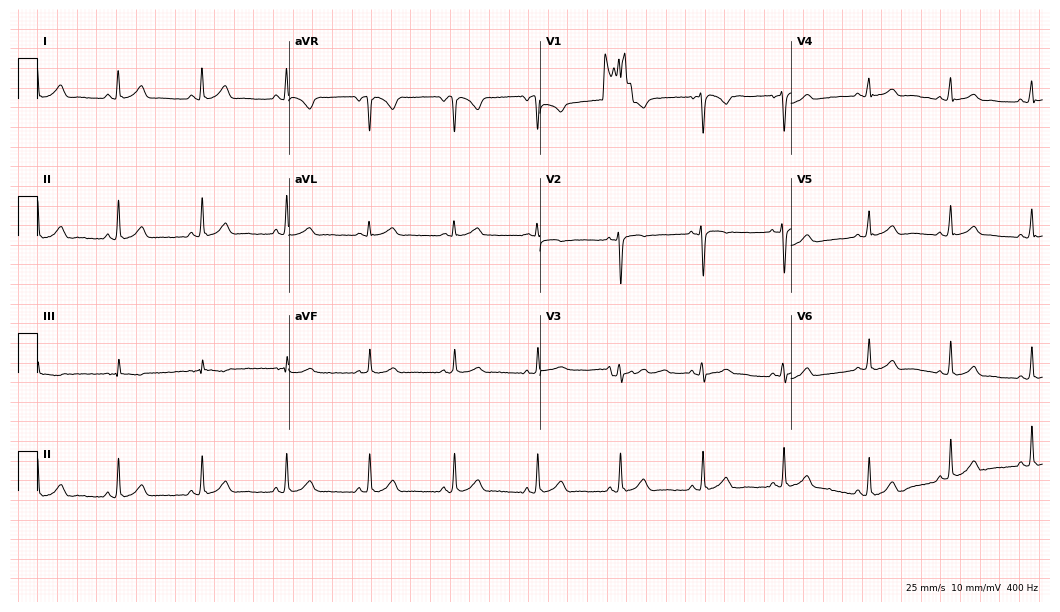
Standard 12-lead ECG recorded from a 28-year-old female patient (10.2-second recording at 400 Hz). Read as a normal ECG.